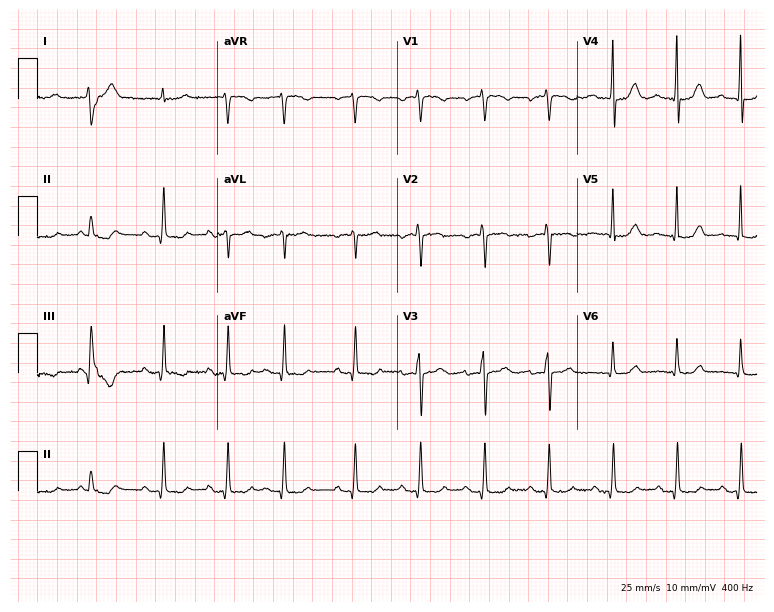
Resting 12-lead electrocardiogram (7.3-second recording at 400 Hz). Patient: a female, 86 years old. Read as a normal ECG.